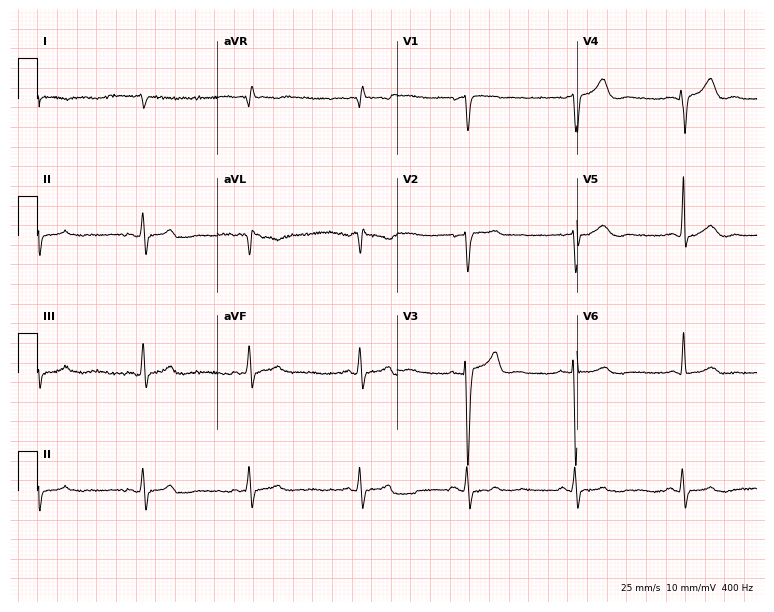
12-lead ECG from an 84-year-old male. No first-degree AV block, right bundle branch block (RBBB), left bundle branch block (LBBB), sinus bradycardia, atrial fibrillation (AF) or sinus tachycardia recorded for this tracing.